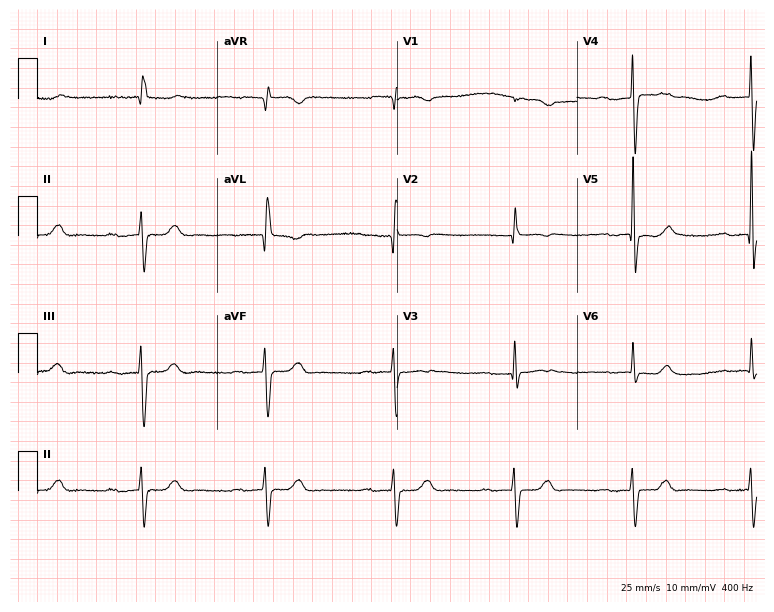
12-lead ECG (7.3-second recording at 400 Hz) from a 76-year-old woman. Findings include first-degree AV block, sinus bradycardia (a sinus rate of 50 beats per minute or less).